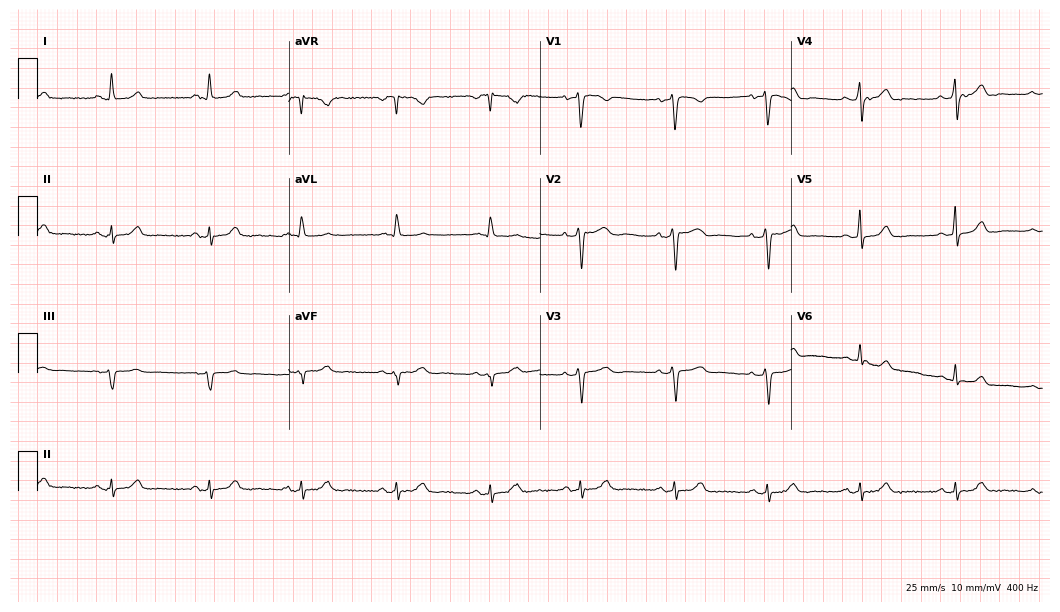
Resting 12-lead electrocardiogram (10.2-second recording at 400 Hz). Patient: a woman, 47 years old. Read as a normal ECG.